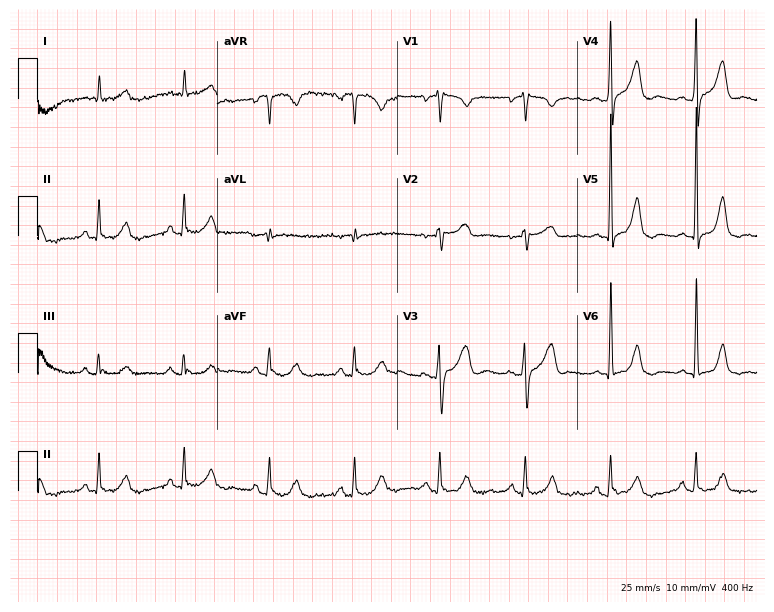
12-lead ECG from a man, 78 years old. No first-degree AV block, right bundle branch block (RBBB), left bundle branch block (LBBB), sinus bradycardia, atrial fibrillation (AF) or sinus tachycardia recorded for this tracing.